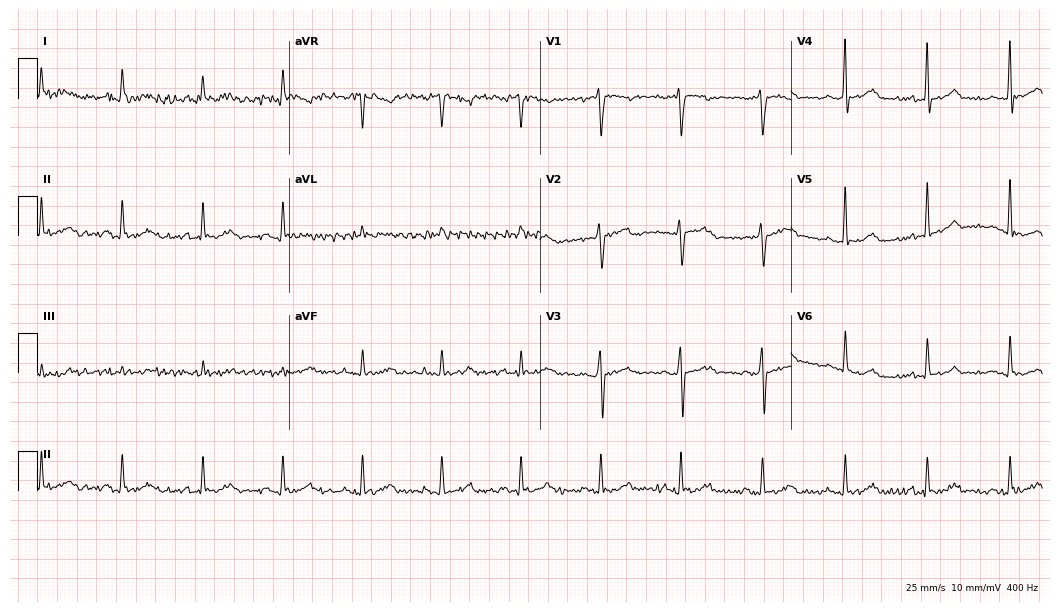
ECG — a 58-year-old male. Screened for six findings — first-degree AV block, right bundle branch block (RBBB), left bundle branch block (LBBB), sinus bradycardia, atrial fibrillation (AF), sinus tachycardia — none is recorded.